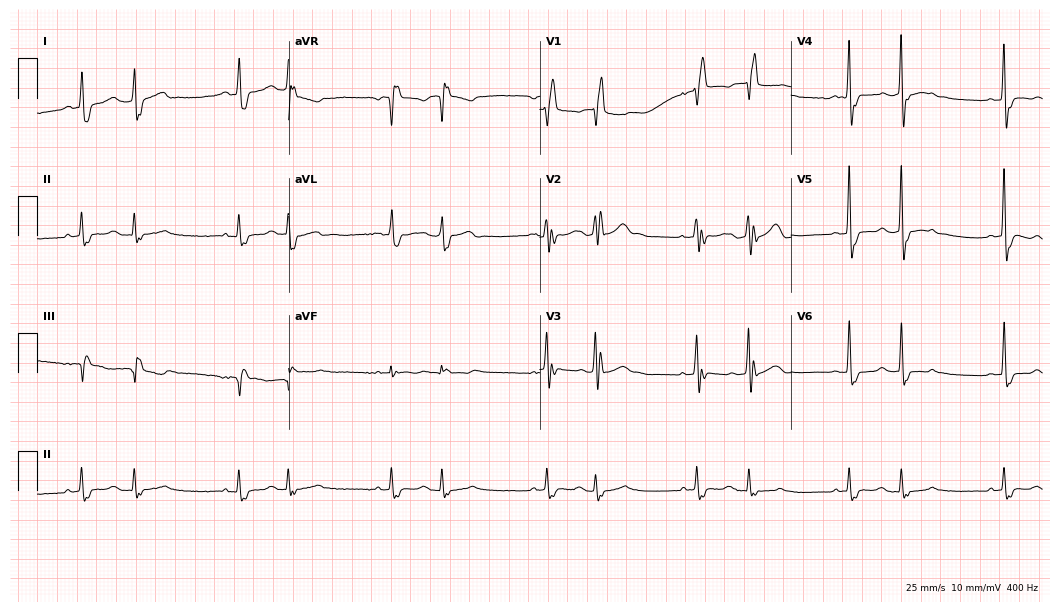
12-lead ECG from a 79-year-old female. No first-degree AV block, right bundle branch block, left bundle branch block, sinus bradycardia, atrial fibrillation or sinus tachycardia recorded for this tracing.